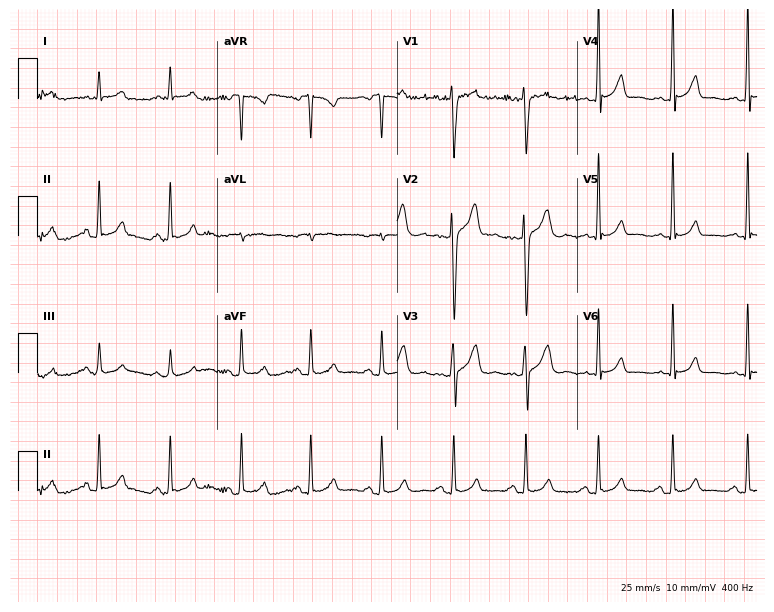
Resting 12-lead electrocardiogram (7.3-second recording at 400 Hz). Patient: a 31-year-old male. None of these six findings is recorded: first-degree AV block, right bundle branch block (RBBB), left bundle branch block (LBBB), sinus bradycardia, atrial fibrillation (AF), sinus tachycardia. Findings outside these six are not listed.